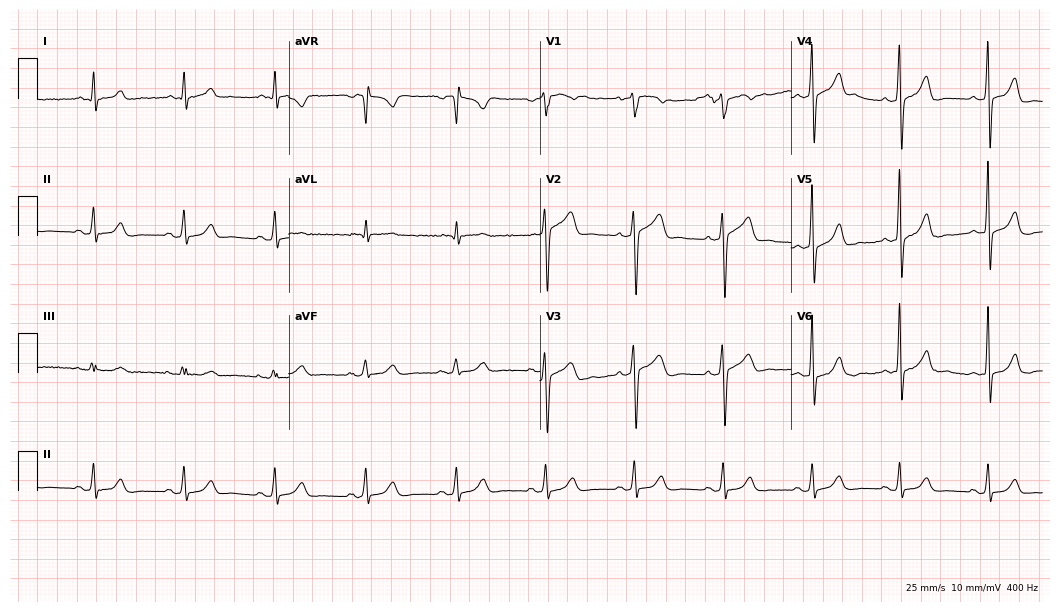
12-lead ECG from a male patient, 58 years old. Recorded interpretation: within normal limits.